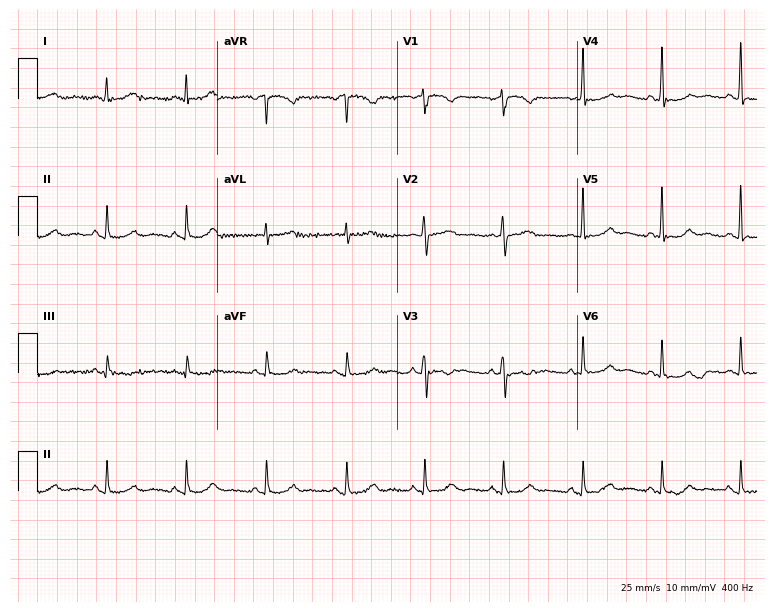
Resting 12-lead electrocardiogram (7.3-second recording at 400 Hz). Patient: a female, 61 years old. None of these six findings is recorded: first-degree AV block, right bundle branch block, left bundle branch block, sinus bradycardia, atrial fibrillation, sinus tachycardia.